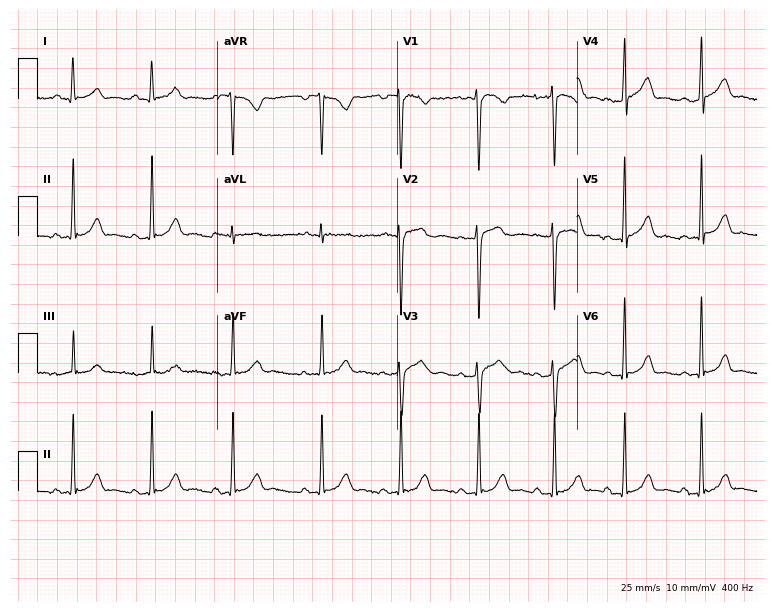
Resting 12-lead electrocardiogram (7.3-second recording at 400 Hz). Patient: a female, 20 years old. Read as a normal ECG.